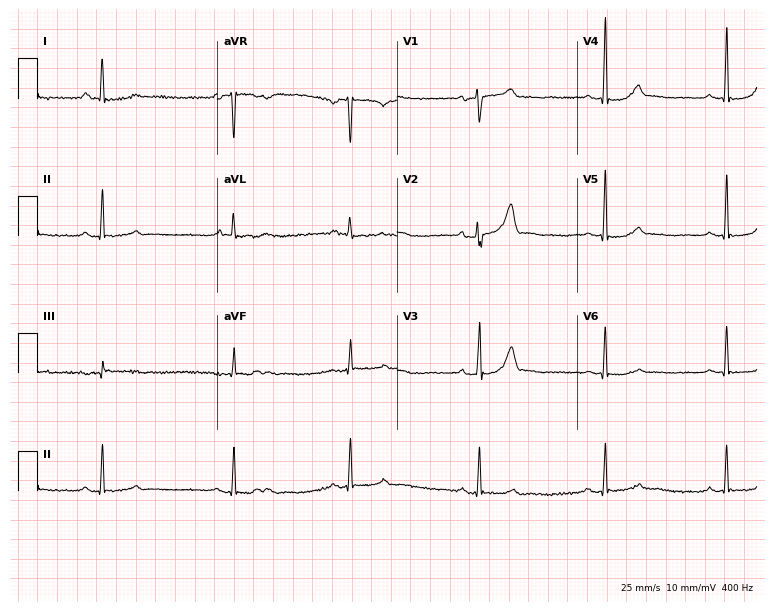
Standard 12-lead ECG recorded from a female, 36 years old (7.3-second recording at 400 Hz). The tracing shows sinus bradycardia (a sinus rate of 50 beats per minute or less).